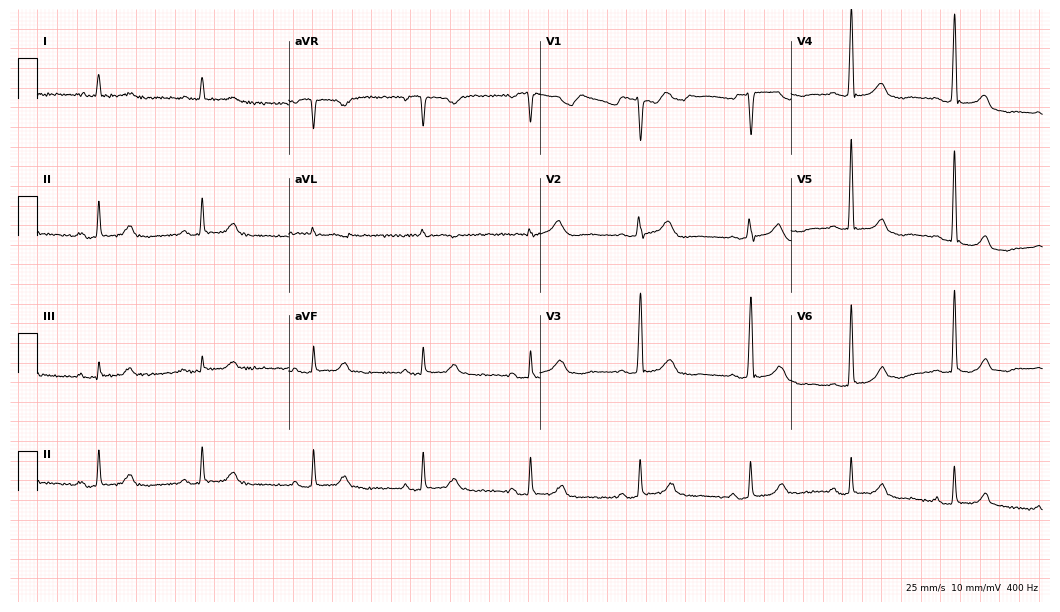
Standard 12-lead ECG recorded from a man, 70 years old. Read as a normal ECG.